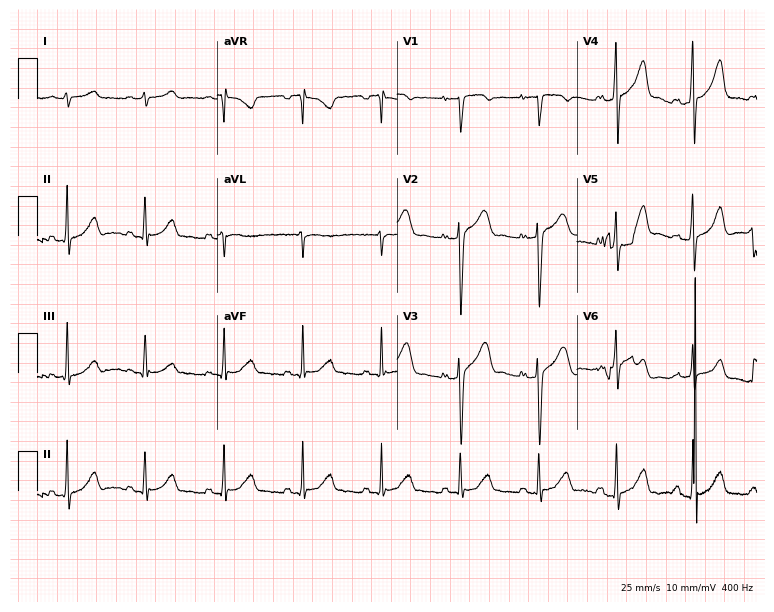
12-lead ECG from a 58-year-old female (7.3-second recording at 400 Hz). Recorded interpretation: within normal limits.